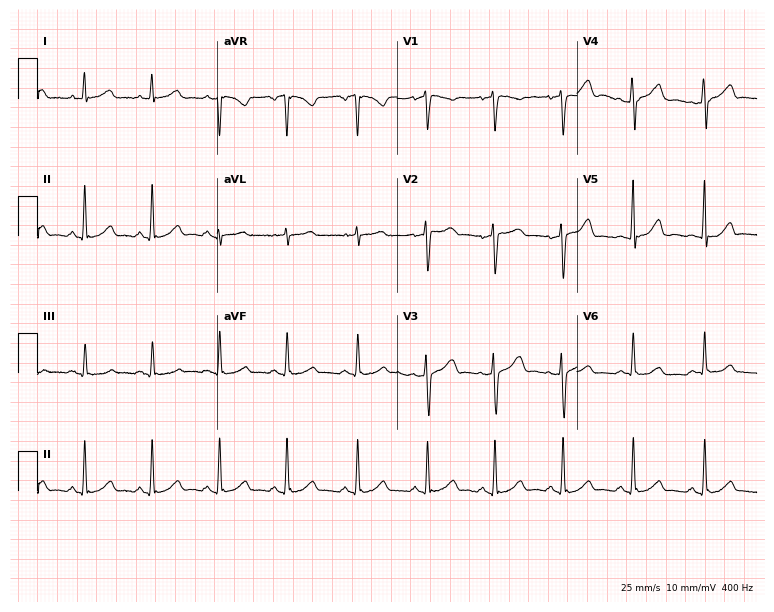
12-lead ECG from a 39-year-old woman. Recorded interpretation: within normal limits.